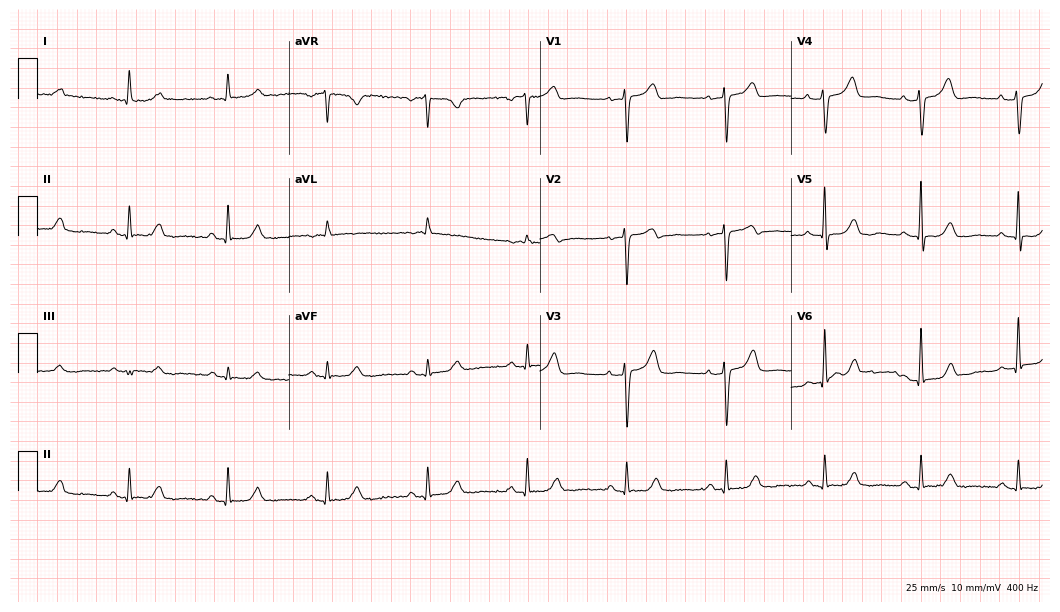
Resting 12-lead electrocardiogram (10.2-second recording at 400 Hz). Patient: a woman, 58 years old. None of these six findings is recorded: first-degree AV block, right bundle branch block, left bundle branch block, sinus bradycardia, atrial fibrillation, sinus tachycardia. Other findings, if any, are not listed.